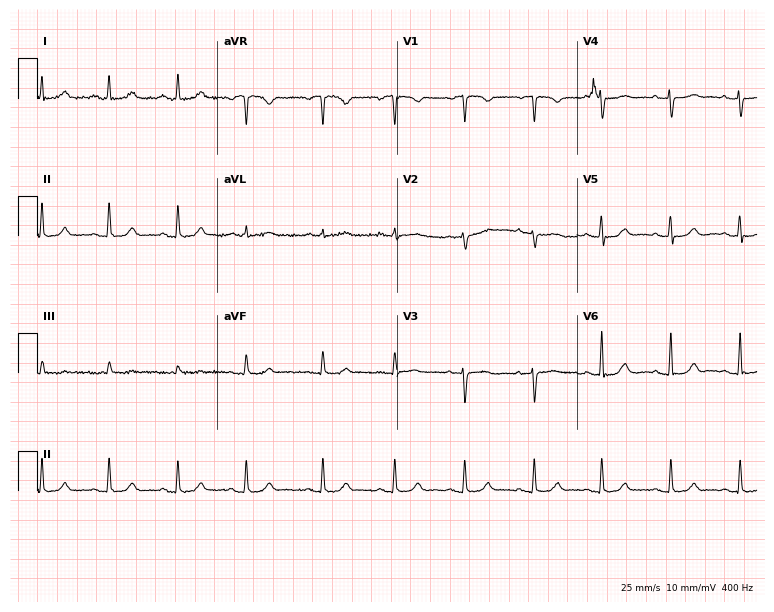
Standard 12-lead ECG recorded from a 71-year-old woman (7.3-second recording at 400 Hz). None of these six findings is recorded: first-degree AV block, right bundle branch block, left bundle branch block, sinus bradycardia, atrial fibrillation, sinus tachycardia.